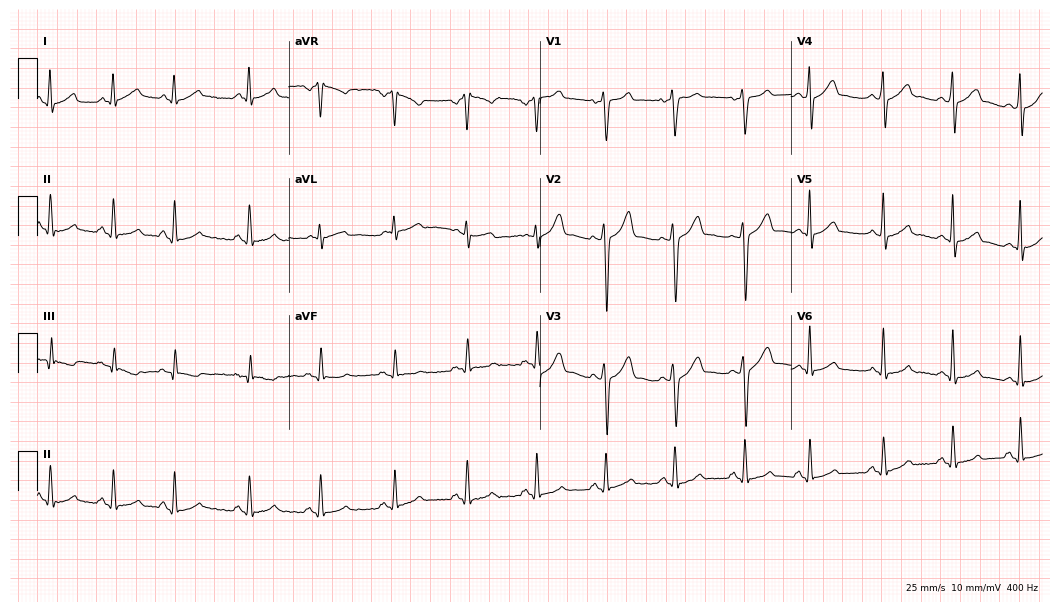
Electrocardiogram, a male, 25 years old. Overall reading on record: normal ECG.